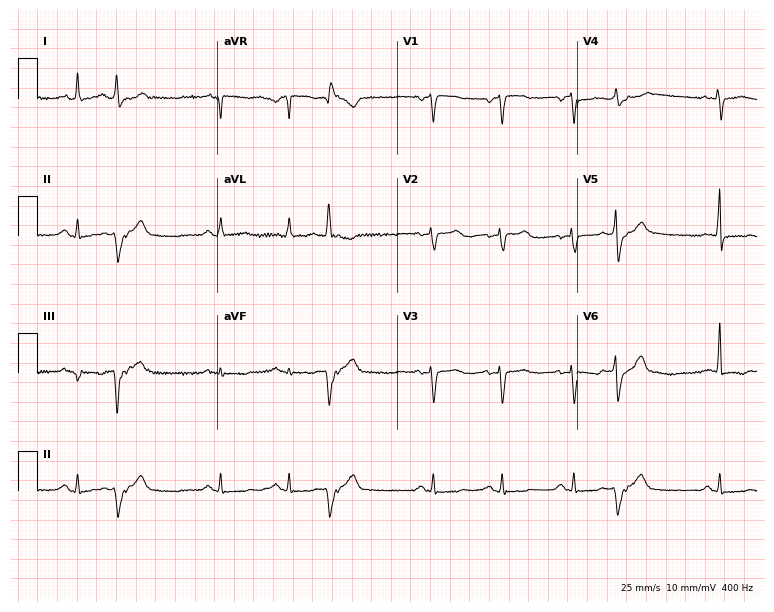
Electrocardiogram (7.3-second recording at 400 Hz), a female, 63 years old. Of the six screened findings (first-degree AV block, right bundle branch block, left bundle branch block, sinus bradycardia, atrial fibrillation, sinus tachycardia), none is recorded. Findings outside these six are not listed.